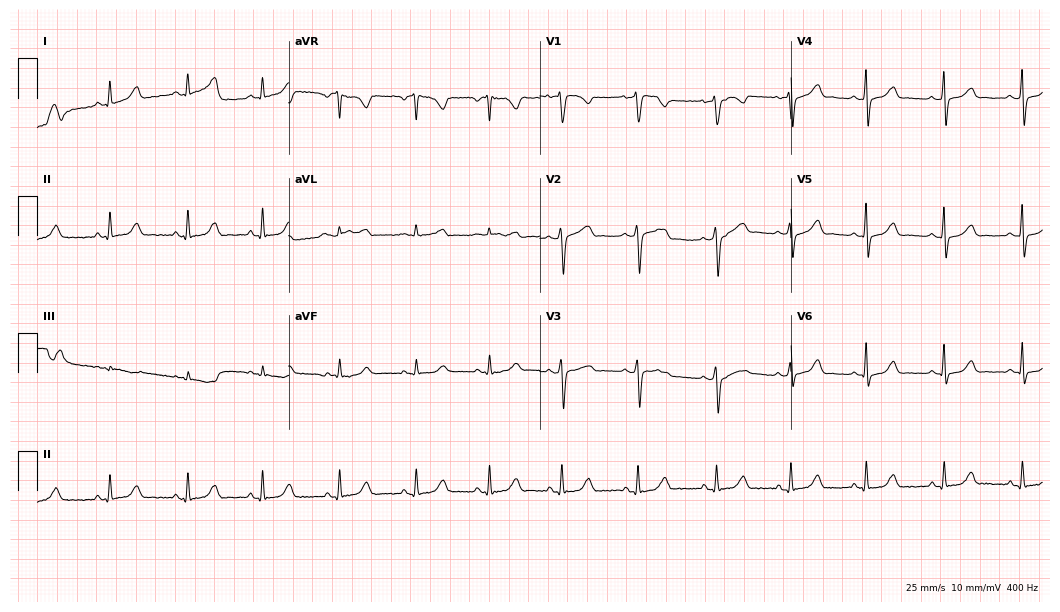
ECG (10.2-second recording at 400 Hz) — a 35-year-old female patient. Labelled as a normal ECG.